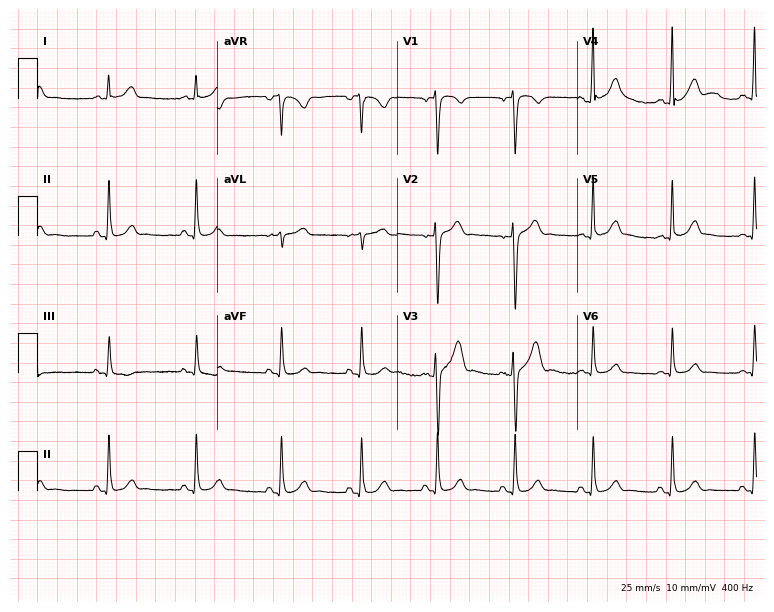
12-lead ECG from a man, 31 years old. Recorded interpretation: within normal limits.